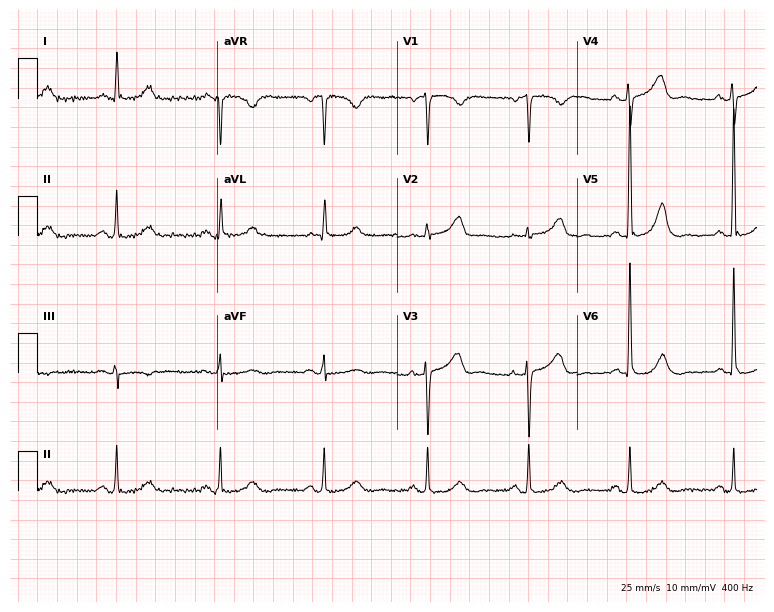
12-lead ECG from a woman, 70 years old. No first-degree AV block, right bundle branch block (RBBB), left bundle branch block (LBBB), sinus bradycardia, atrial fibrillation (AF) or sinus tachycardia recorded for this tracing.